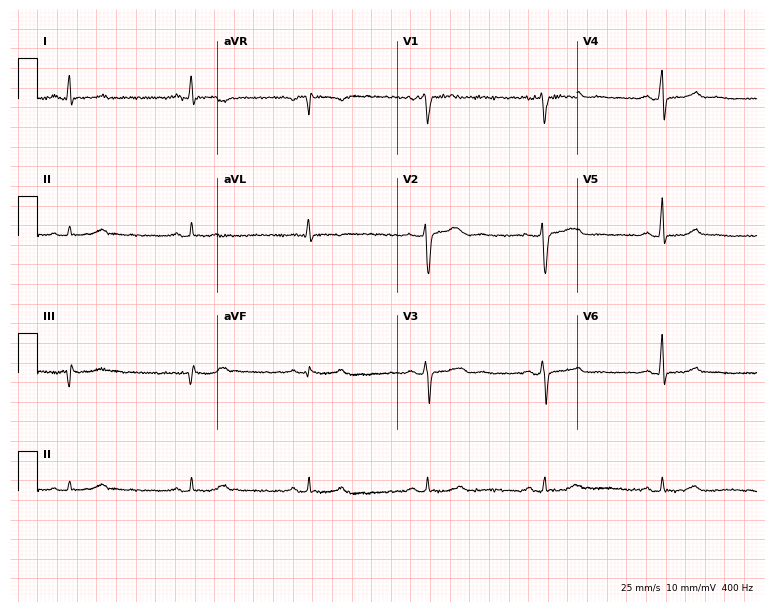
Electrocardiogram (7.3-second recording at 400 Hz), a female patient, 66 years old. Of the six screened findings (first-degree AV block, right bundle branch block, left bundle branch block, sinus bradycardia, atrial fibrillation, sinus tachycardia), none is recorded. Findings outside these six are not listed.